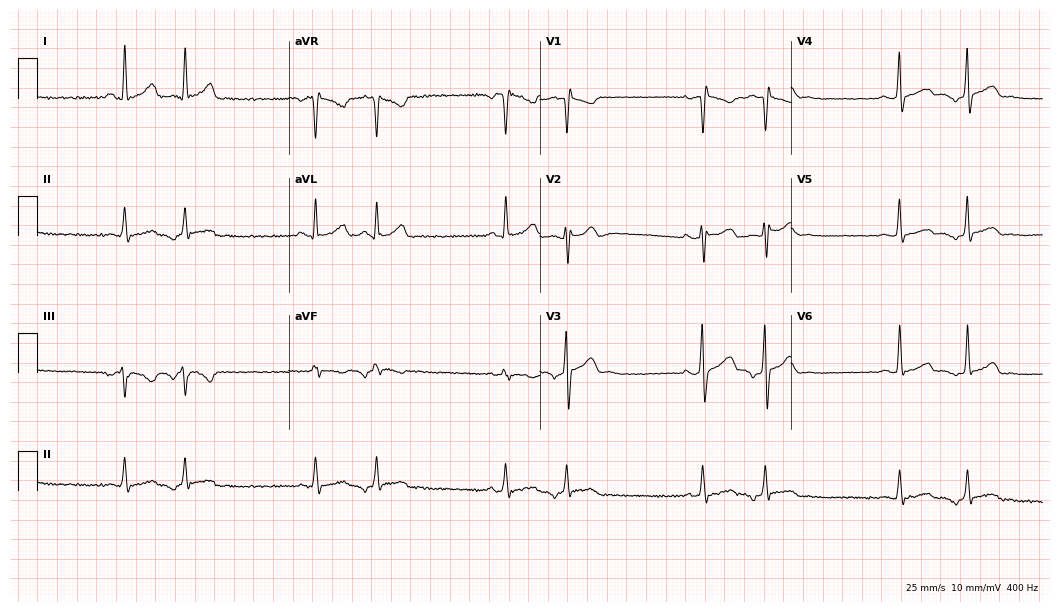
Standard 12-lead ECG recorded from a 39-year-old male patient. None of these six findings is recorded: first-degree AV block, right bundle branch block, left bundle branch block, sinus bradycardia, atrial fibrillation, sinus tachycardia. Only these six findings were labelled.